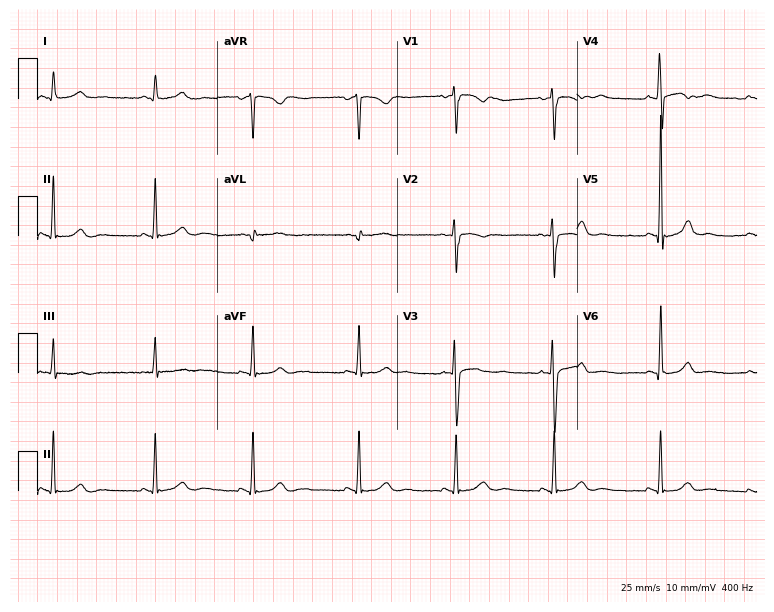
Resting 12-lead electrocardiogram. Patient: a female, 31 years old. Read as a normal ECG.